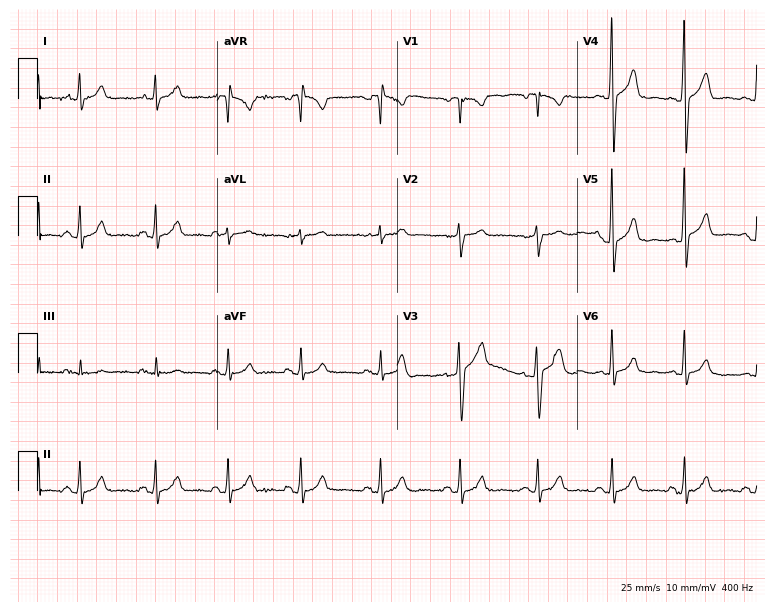
Electrocardiogram (7.3-second recording at 400 Hz), a male, 30 years old. Overall reading on record: normal ECG.